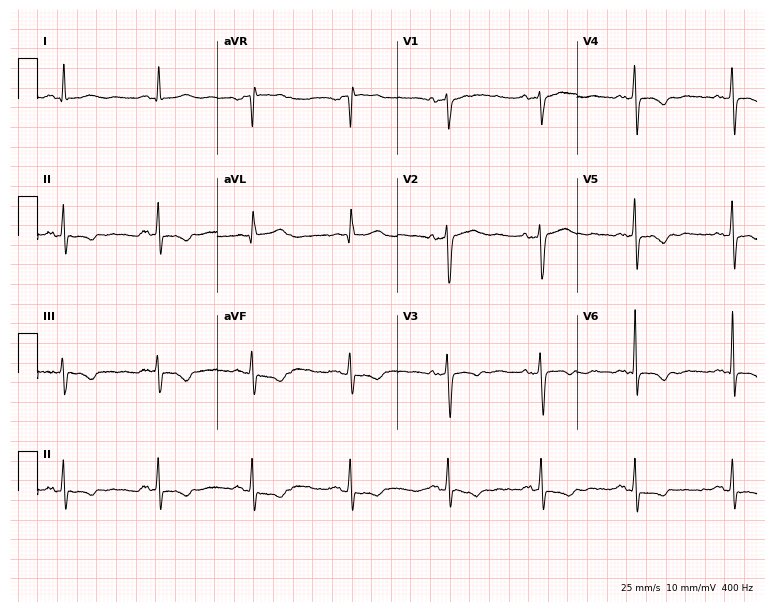
Resting 12-lead electrocardiogram (7.3-second recording at 400 Hz). Patient: a female, 50 years old. None of these six findings is recorded: first-degree AV block, right bundle branch block (RBBB), left bundle branch block (LBBB), sinus bradycardia, atrial fibrillation (AF), sinus tachycardia. Other findings, if any, are not listed.